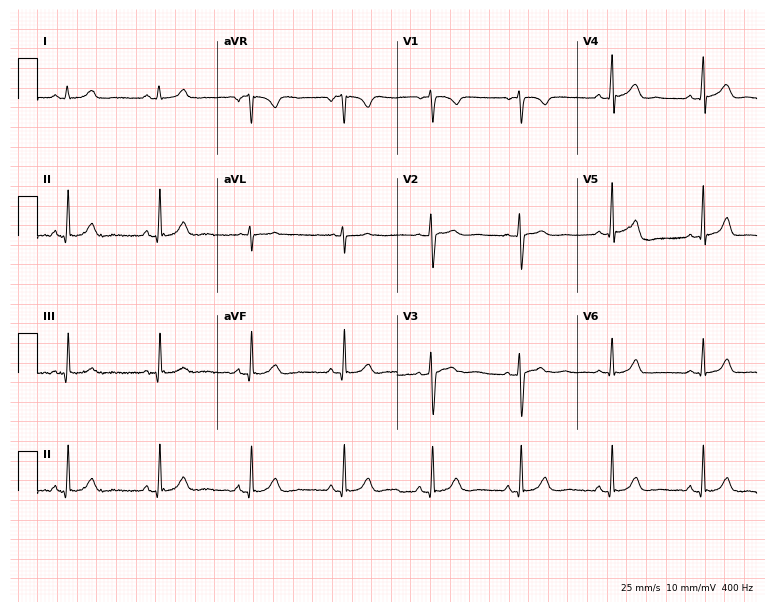
12-lead ECG from a 20-year-old female. Screened for six findings — first-degree AV block, right bundle branch block, left bundle branch block, sinus bradycardia, atrial fibrillation, sinus tachycardia — none is recorded. Findings outside these six are not listed.